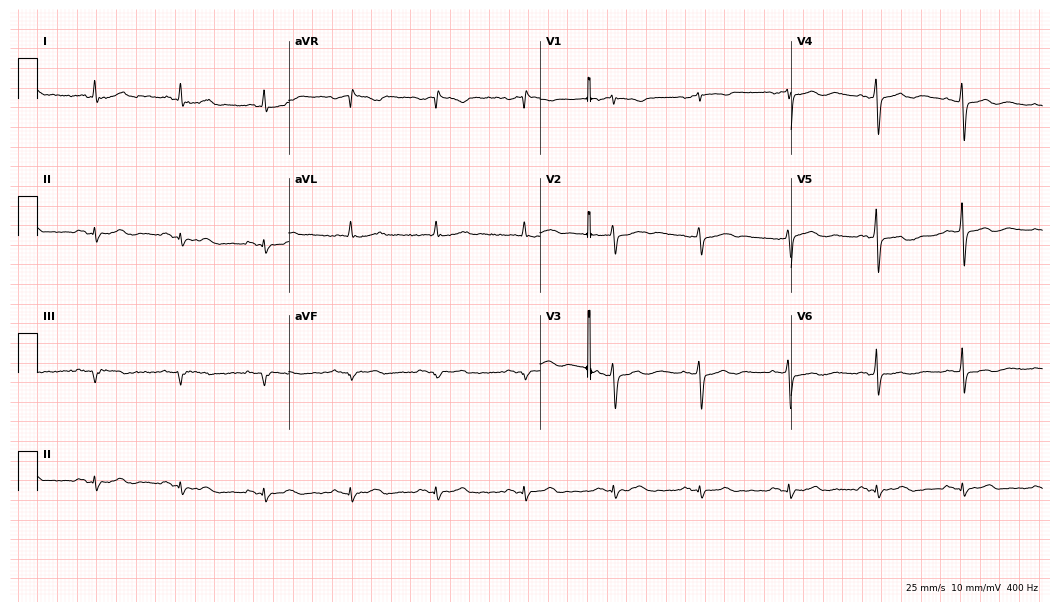
Electrocardiogram, a woman, 57 years old. Of the six screened findings (first-degree AV block, right bundle branch block (RBBB), left bundle branch block (LBBB), sinus bradycardia, atrial fibrillation (AF), sinus tachycardia), none is recorded.